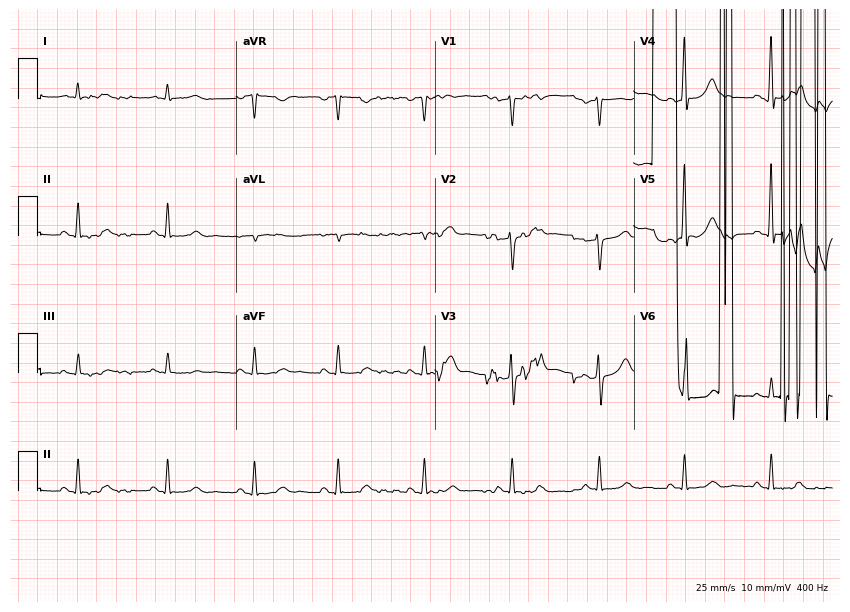
ECG — a male patient, 63 years old. Screened for six findings — first-degree AV block, right bundle branch block, left bundle branch block, sinus bradycardia, atrial fibrillation, sinus tachycardia — none is recorded. Findings outside these six are not listed.